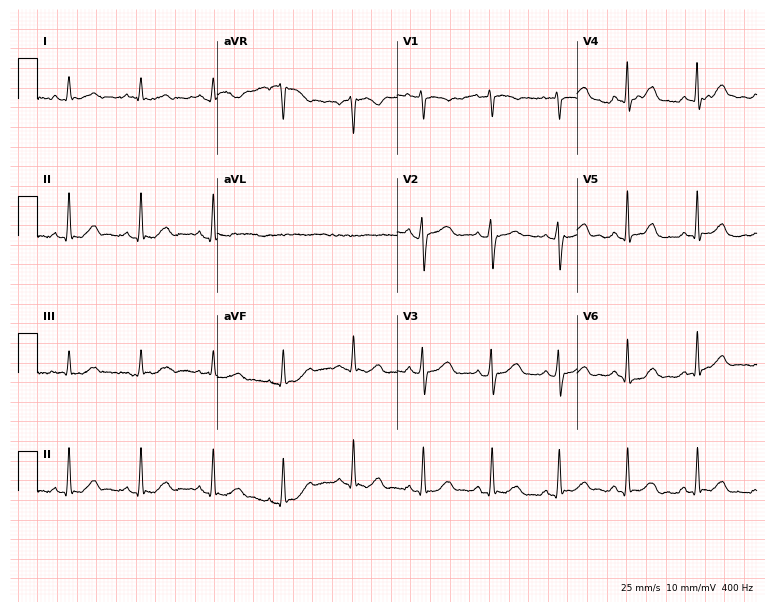
ECG — a female, 29 years old. Labelled as a normal ECG.